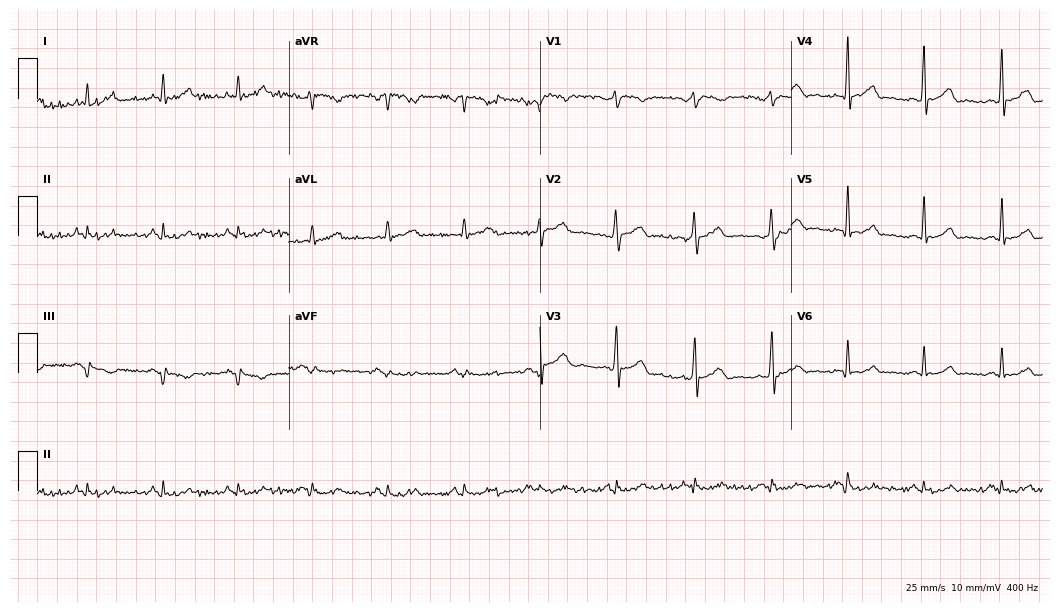
Resting 12-lead electrocardiogram (10.2-second recording at 400 Hz). Patient: a male, 37 years old. None of these six findings is recorded: first-degree AV block, right bundle branch block, left bundle branch block, sinus bradycardia, atrial fibrillation, sinus tachycardia. Findings outside these six are not listed.